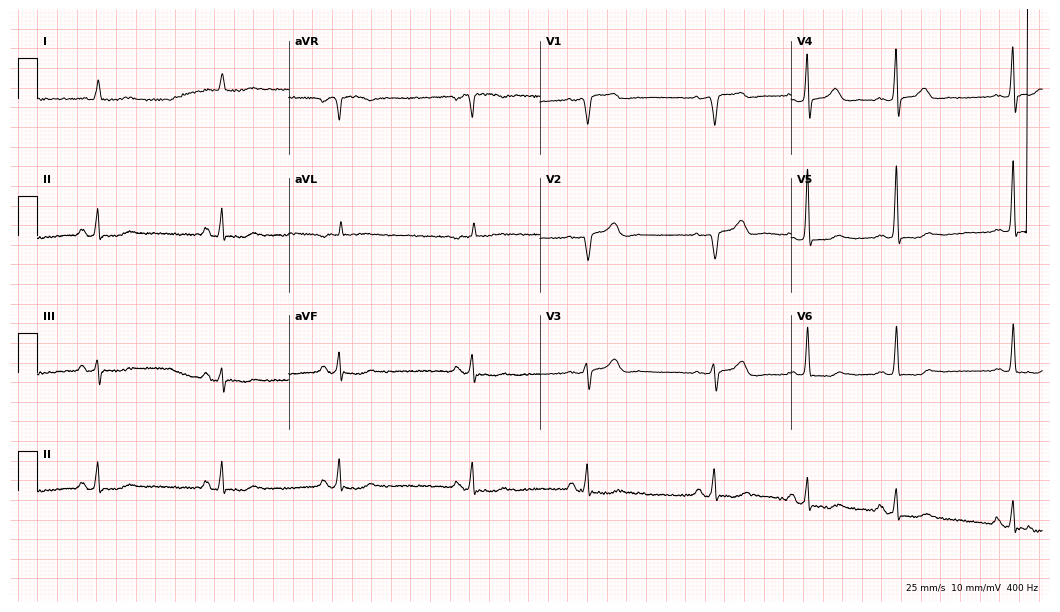
12-lead ECG from a 78-year-old woman. Screened for six findings — first-degree AV block, right bundle branch block, left bundle branch block, sinus bradycardia, atrial fibrillation, sinus tachycardia — none is recorded.